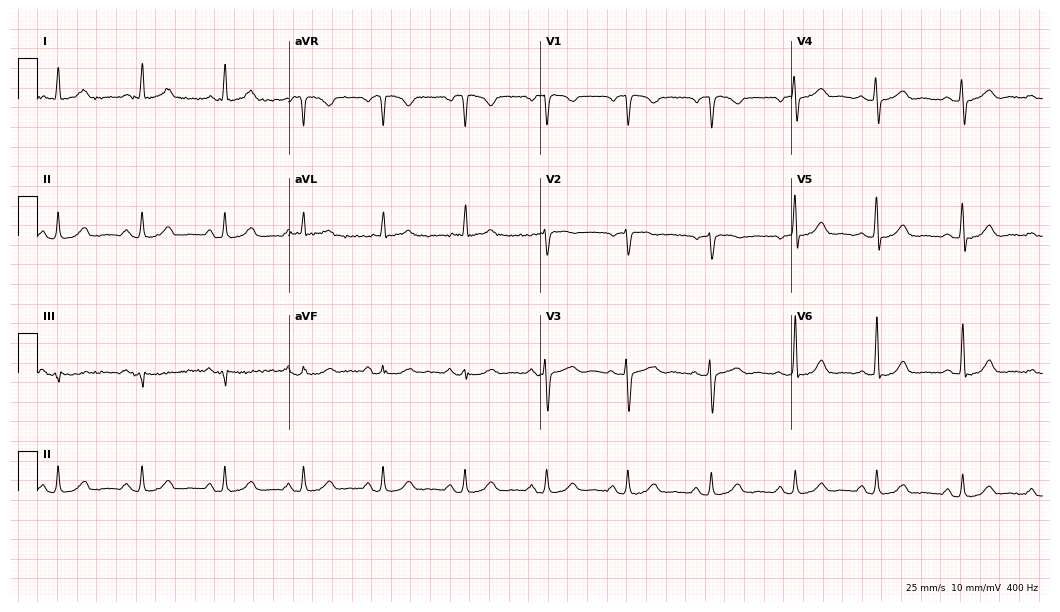
12-lead ECG (10.2-second recording at 400 Hz) from a 51-year-old woman. Screened for six findings — first-degree AV block, right bundle branch block, left bundle branch block, sinus bradycardia, atrial fibrillation, sinus tachycardia — none is recorded.